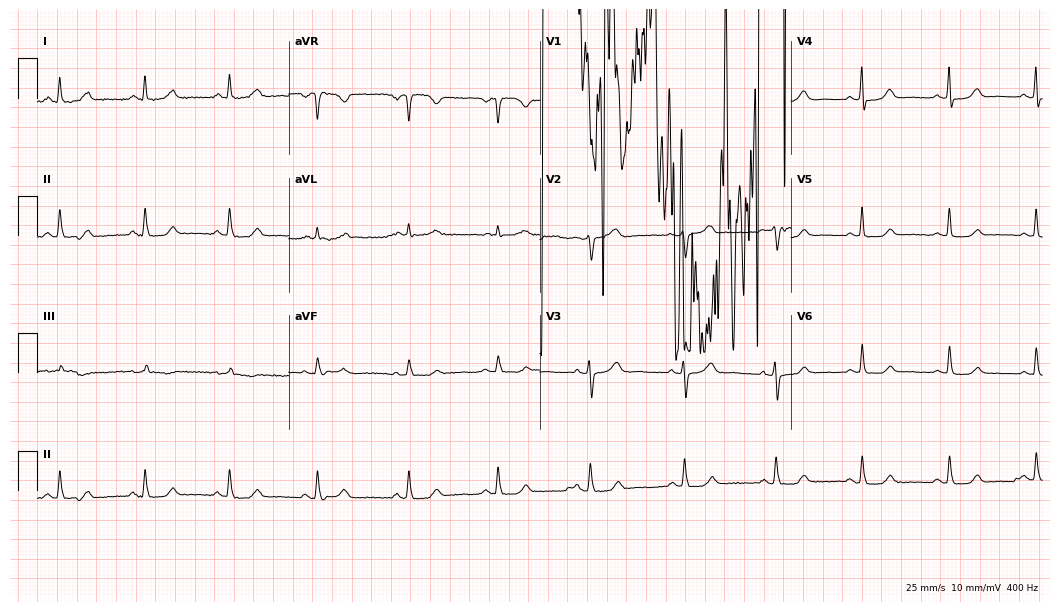
Electrocardiogram, a 66-year-old female. Of the six screened findings (first-degree AV block, right bundle branch block, left bundle branch block, sinus bradycardia, atrial fibrillation, sinus tachycardia), none is recorded.